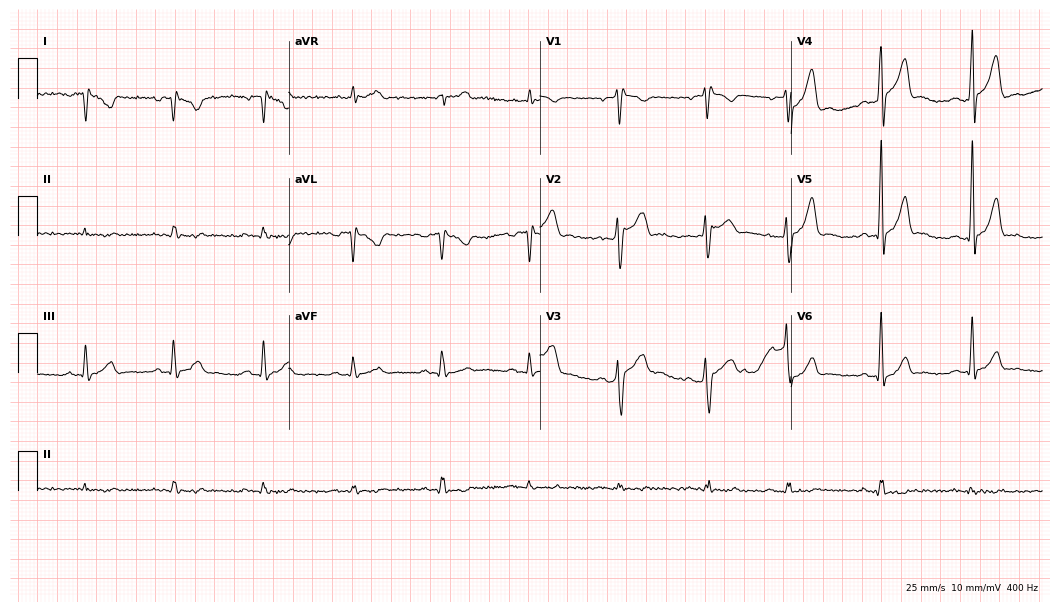
12-lead ECG from a 42-year-old male patient. No first-degree AV block, right bundle branch block, left bundle branch block, sinus bradycardia, atrial fibrillation or sinus tachycardia recorded for this tracing.